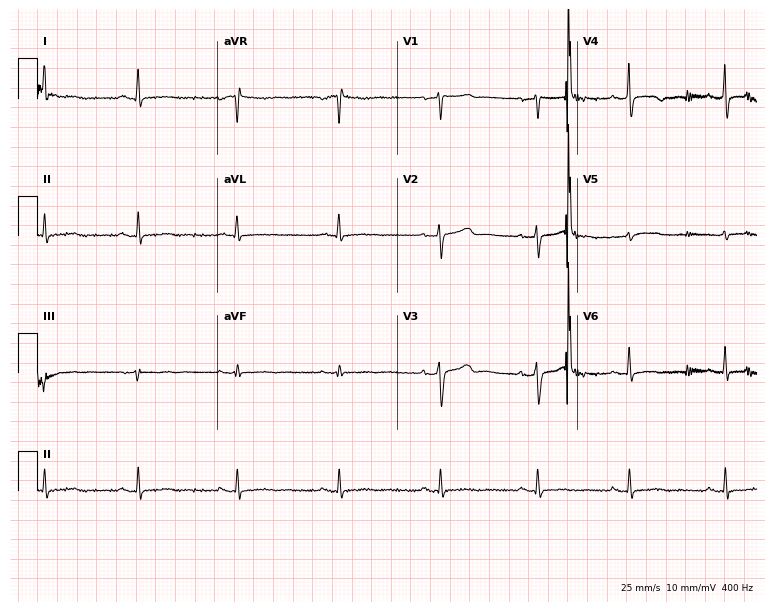
12-lead ECG from a female patient, 43 years old. No first-degree AV block, right bundle branch block, left bundle branch block, sinus bradycardia, atrial fibrillation or sinus tachycardia recorded for this tracing. Other findings, if any, are not listed.